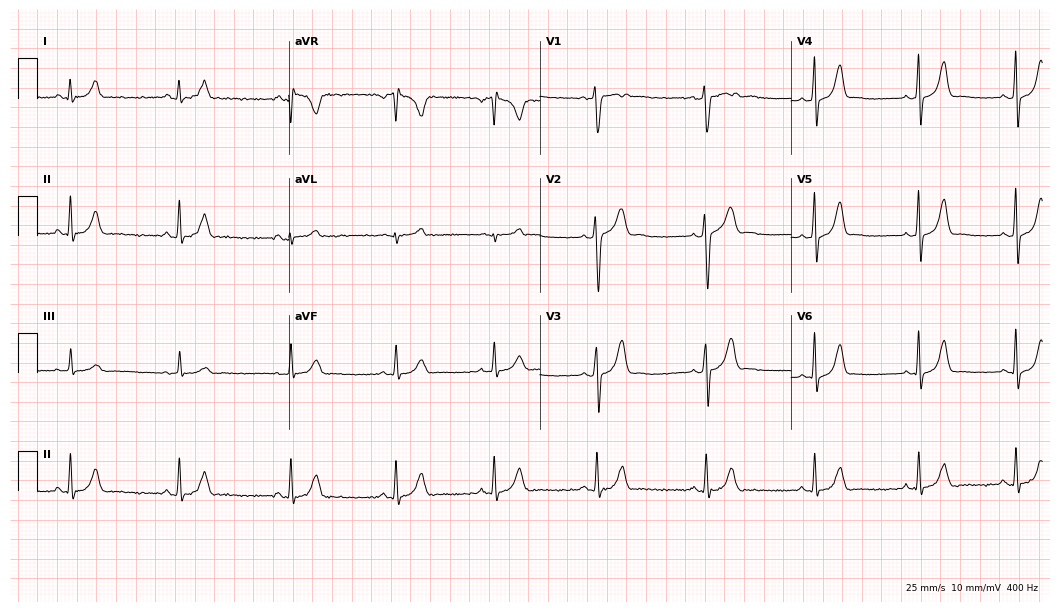
12-lead ECG from a female, 20 years old (10.2-second recording at 400 Hz). No first-degree AV block, right bundle branch block, left bundle branch block, sinus bradycardia, atrial fibrillation or sinus tachycardia recorded for this tracing. Findings outside these six are not listed.